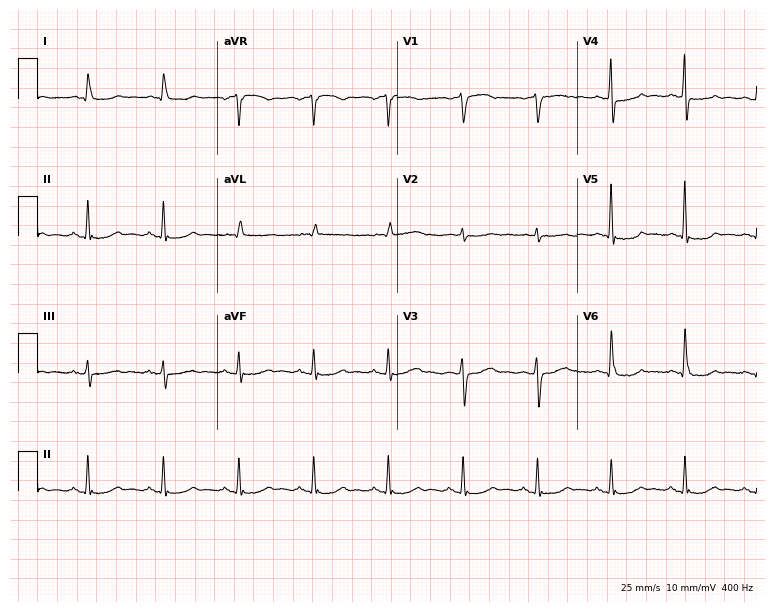
Resting 12-lead electrocardiogram (7.3-second recording at 400 Hz). Patient: an 83-year-old male. None of these six findings is recorded: first-degree AV block, right bundle branch block, left bundle branch block, sinus bradycardia, atrial fibrillation, sinus tachycardia. Findings outside these six are not listed.